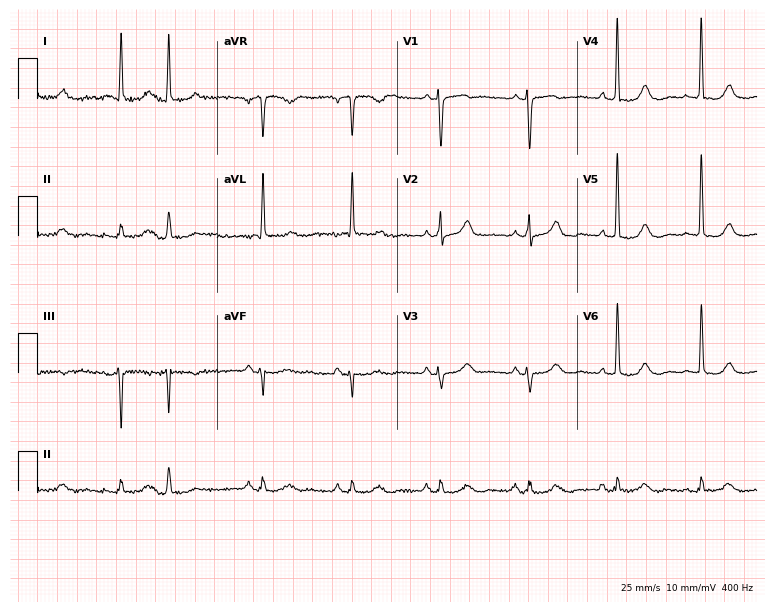
Electrocardiogram (7.3-second recording at 400 Hz), a female patient, 70 years old. Overall reading on record: normal ECG.